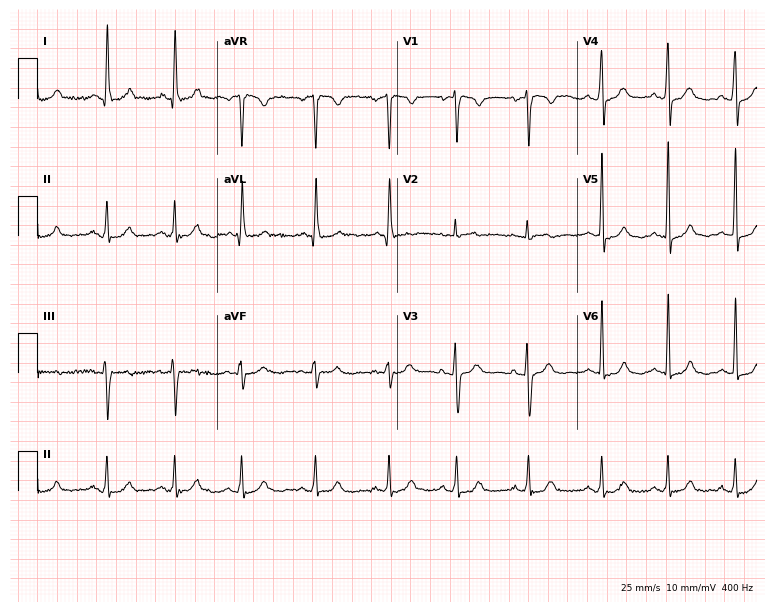
ECG — a female, 27 years old. Labelled as a normal ECG.